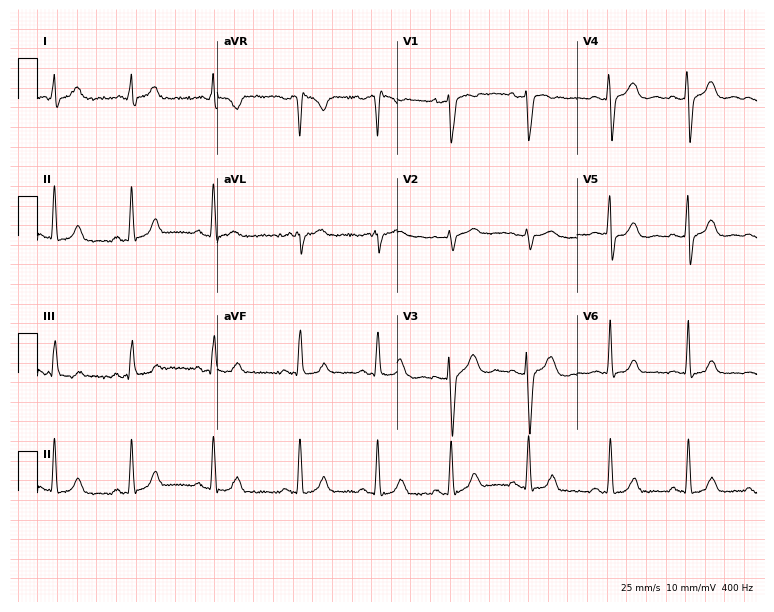
Resting 12-lead electrocardiogram. Patient: a 31-year-old female. Read as a normal ECG.